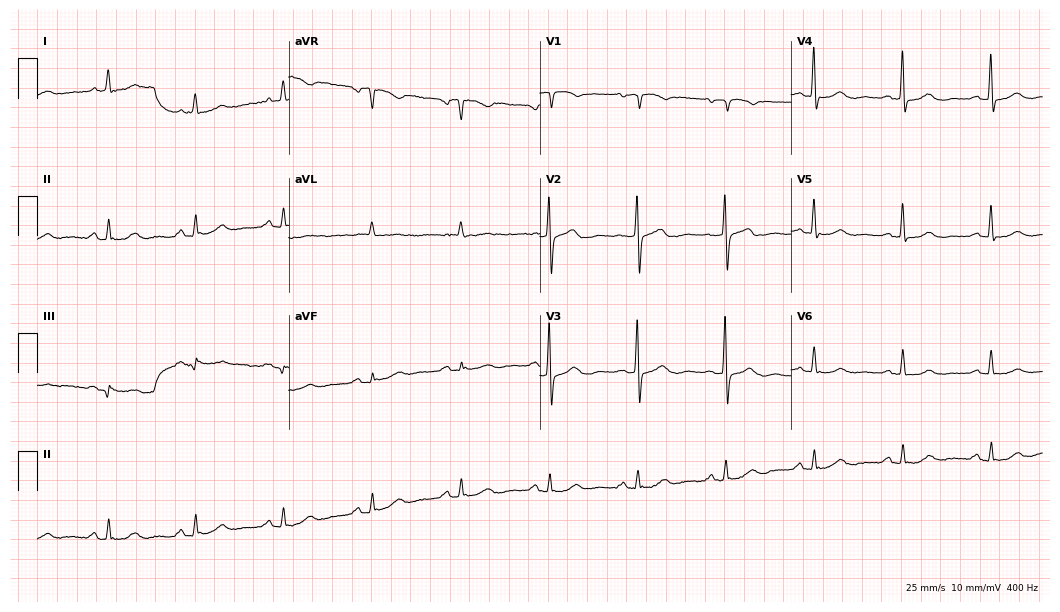
Resting 12-lead electrocardiogram (10.2-second recording at 400 Hz). Patient: a 78-year-old female. Read as a normal ECG.